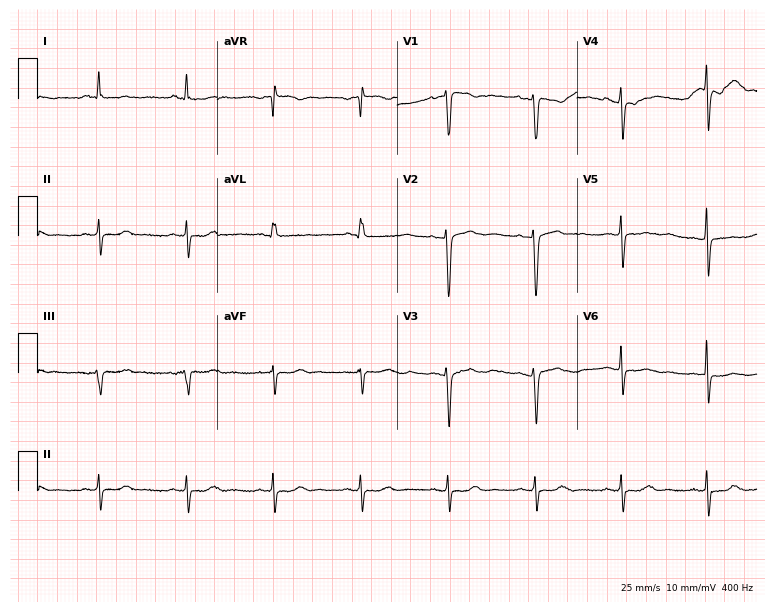
Standard 12-lead ECG recorded from a female patient, 78 years old. None of these six findings is recorded: first-degree AV block, right bundle branch block, left bundle branch block, sinus bradycardia, atrial fibrillation, sinus tachycardia.